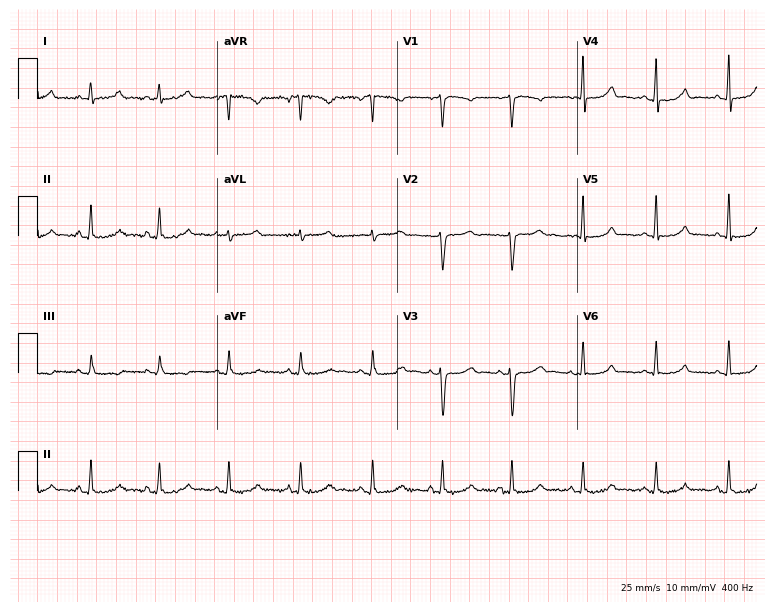
Standard 12-lead ECG recorded from a female, 57 years old (7.3-second recording at 400 Hz). None of these six findings is recorded: first-degree AV block, right bundle branch block, left bundle branch block, sinus bradycardia, atrial fibrillation, sinus tachycardia.